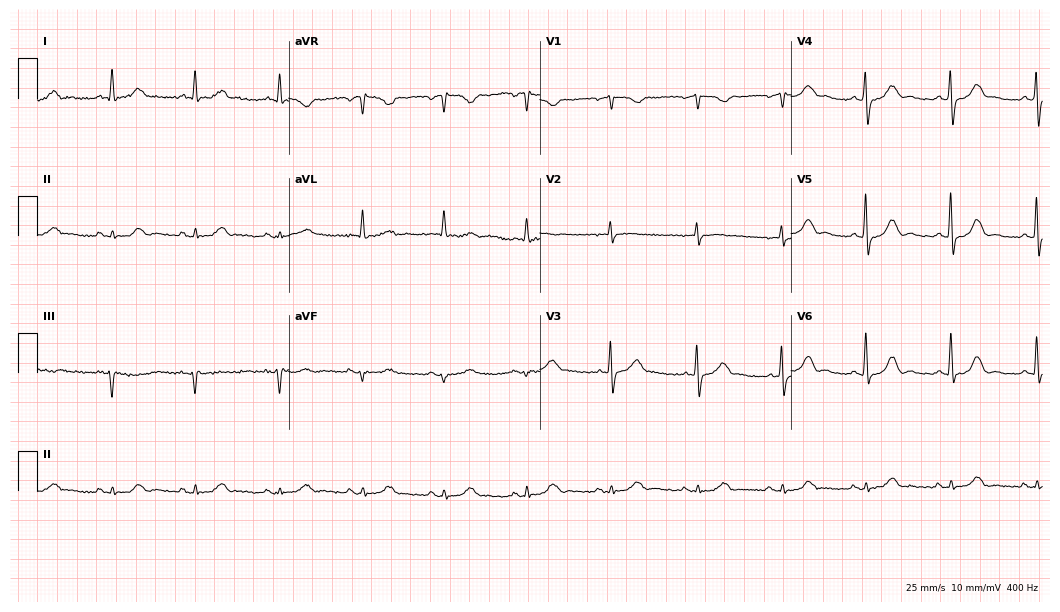
Electrocardiogram (10.2-second recording at 400 Hz), a male, 70 years old. Overall reading on record: normal ECG.